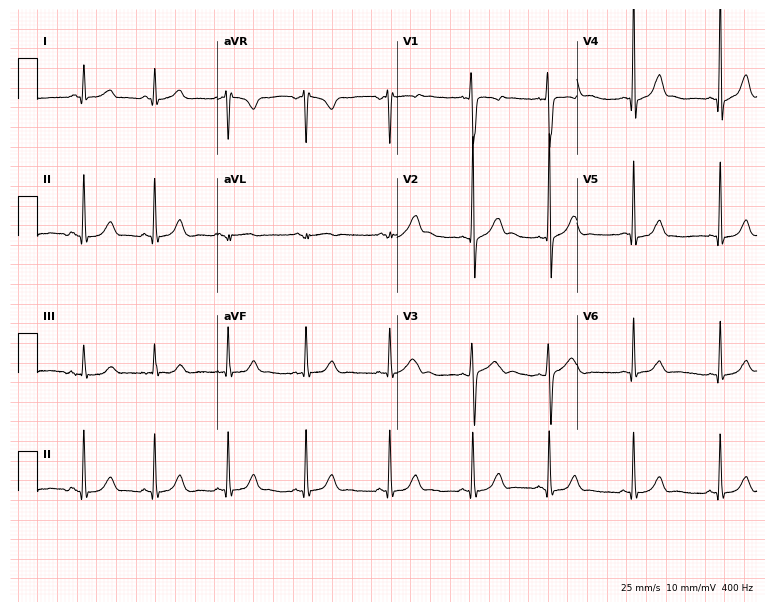
12-lead ECG from a male, 17 years old. Labelled as a normal ECG.